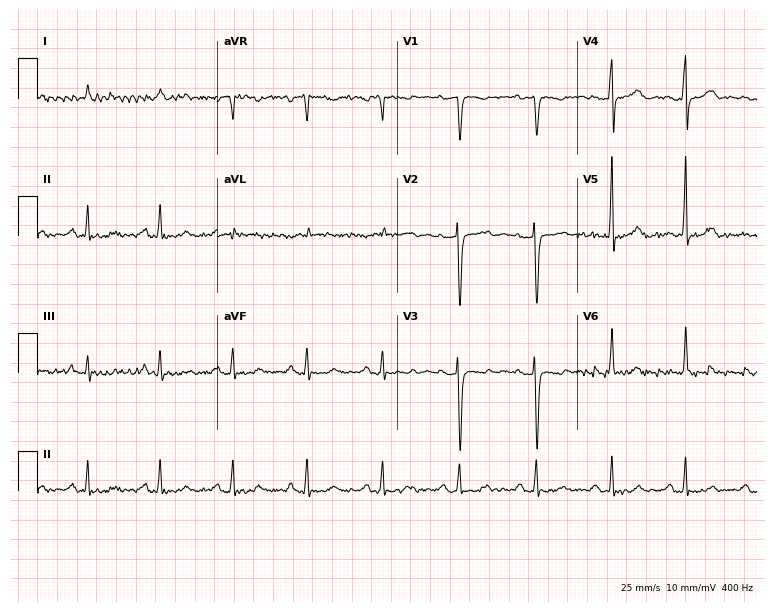
Resting 12-lead electrocardiogram (7.3-second recording at 400 Hz). Patient: a 56-year-old female. None of these six findings is recorded: first-degree AV block, right bundle branch block, left bundle branch block, sinus bradycardia, atrial fibrillation, sinus tachycardia.